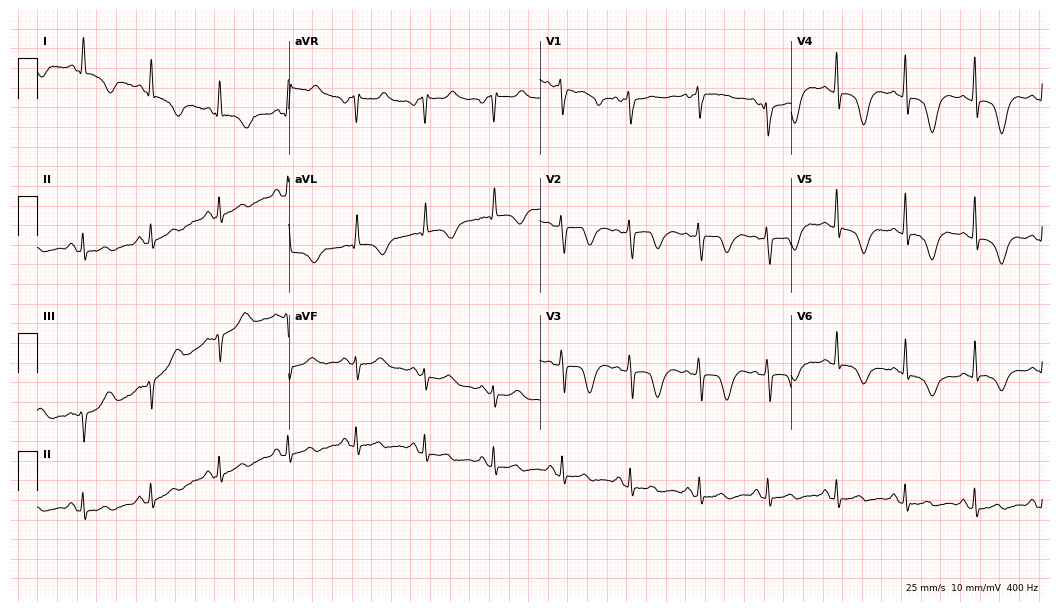
ECG (10.2-second recording at 400 Hz) — a female patient, 84 years old. Screened for six findings — first-degree AV block, right bundle branch block (RBBB), left bundle branch block (LBBB), sinus bradycardia, atrial fibrillation (AF), sinus tachycardia — none is recorded.